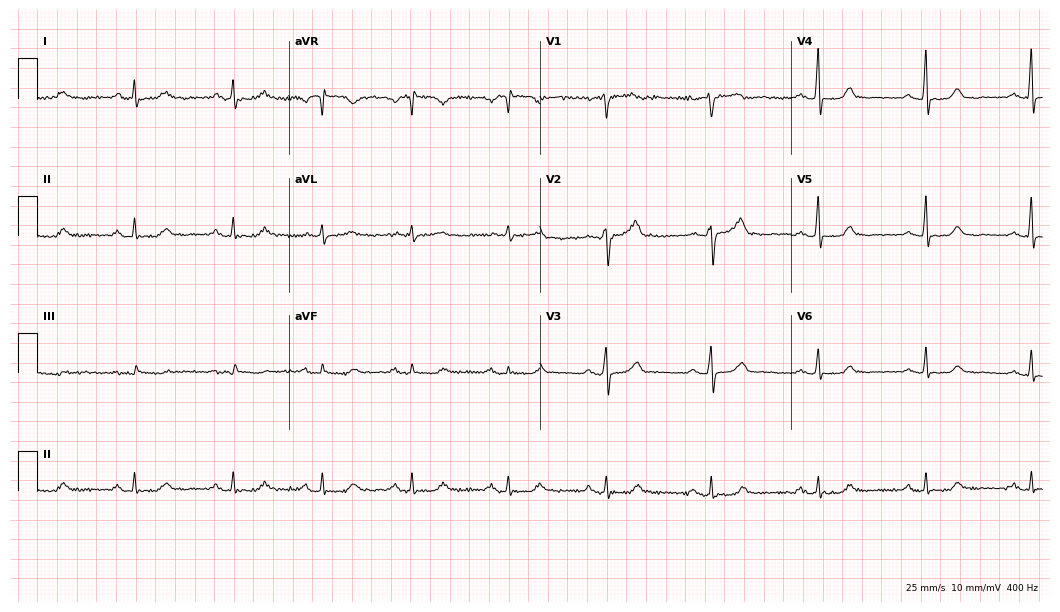
Electrocardiogram (10.2-second recording at 400 Hz), a 52-year-old female patient. Of the six screened findings (first-degree AV block, right bundle branch block, left bundle branch block, sinus bradycardia, atrial fibrillation, sinus tachycardia), none is recorded. Only these six findings were labelled.